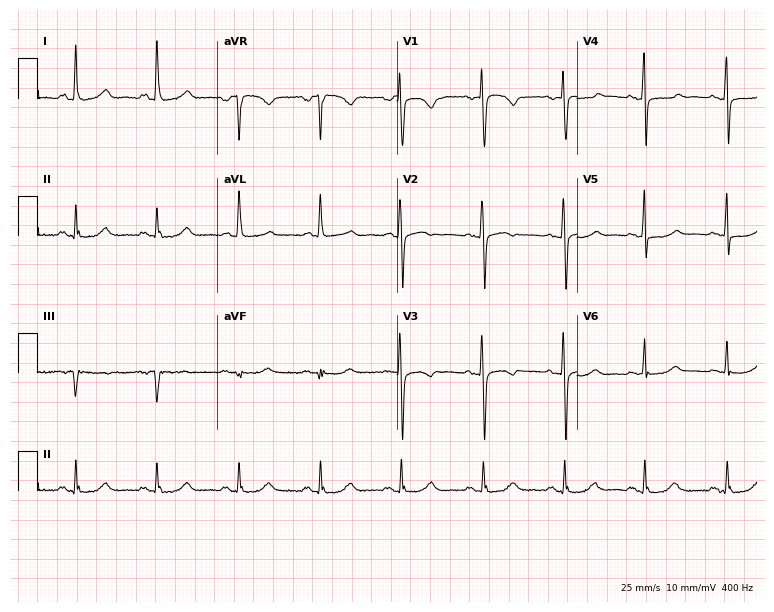
Electrocardiogram (7.3-second recording at 400 Hz), a 57-year-old woman. Of the six screened findings (first-degree AV block, right bundle branch block, left bundle branch block, sinus bradycardia, atrial fibrillation, sinus tachycardia), none is recorded.